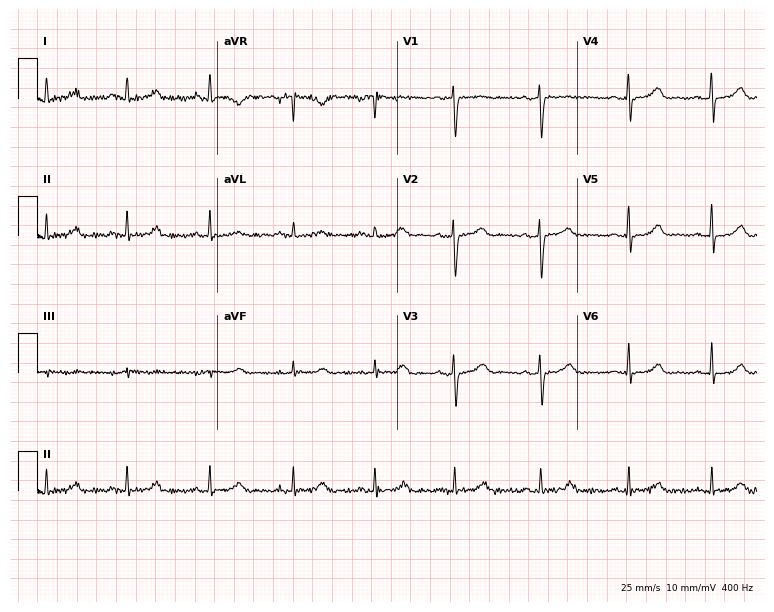
12-lead ECG from a 50-year-old woman. No first-degree AV block, right bundle branch block (RBBB), left bundle branch block (LBBB), sinus bradycardia, atrial fibrillation (AF) or sinus tachycardia recorded for this tracing.